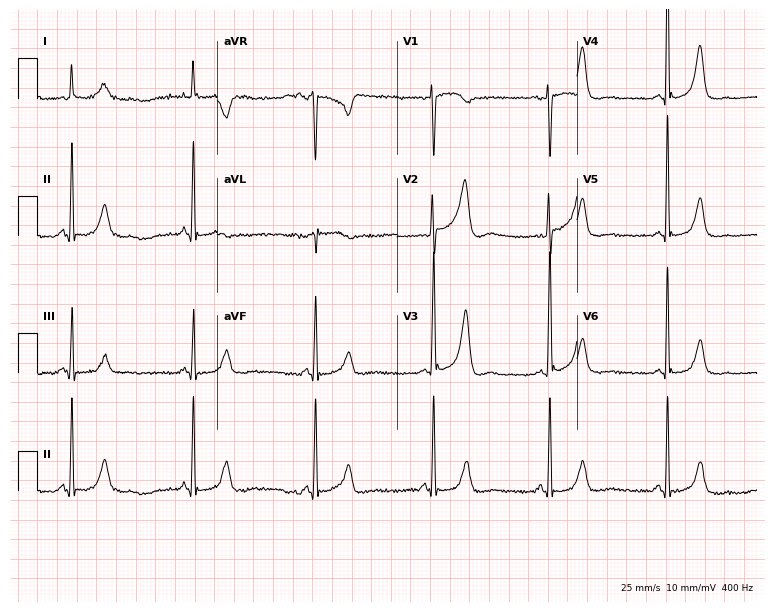
12-lead ECG from a 58-year-old woman. Findings include sinus bradycardia (a sinus rate of 50 beats per minute or less).